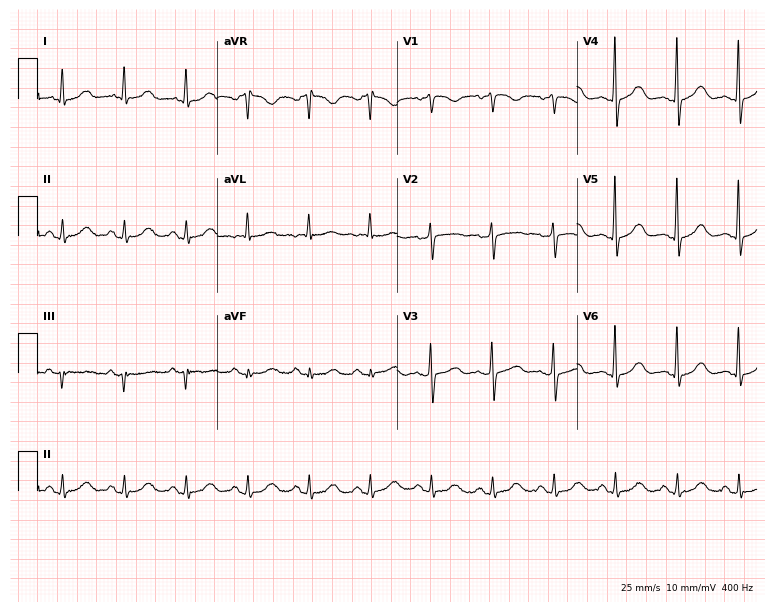
Standard 12-lead ECG recorded from a woman, 61 years old (7.3-second recording at 400 Hz). Read as a normal ECG.